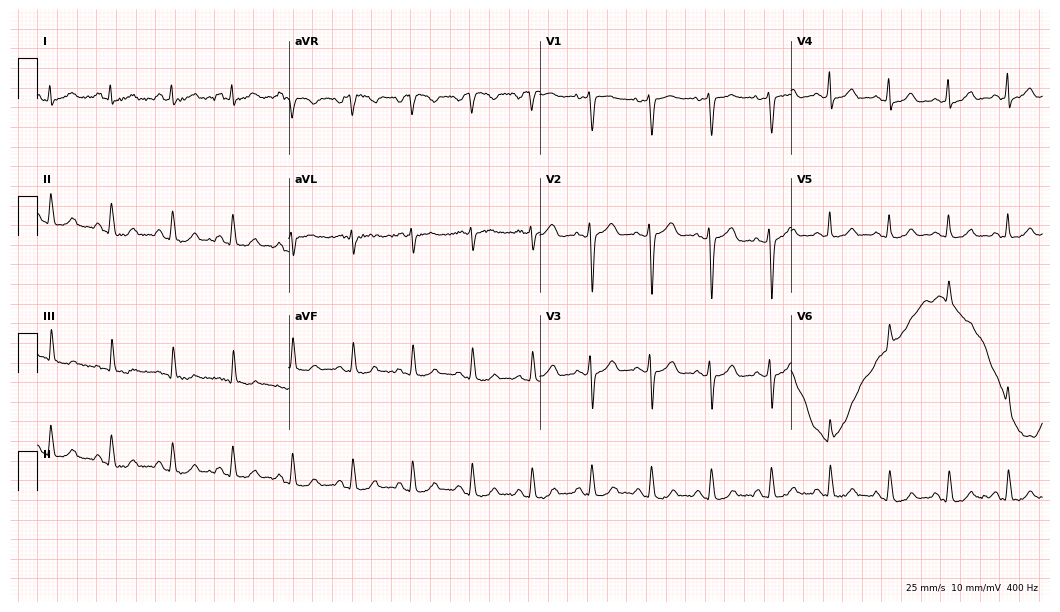
12-lead ECG from a female, 31 years old (10.2-second recording at 400 Hz). Recorded interpretation: within normal limits.